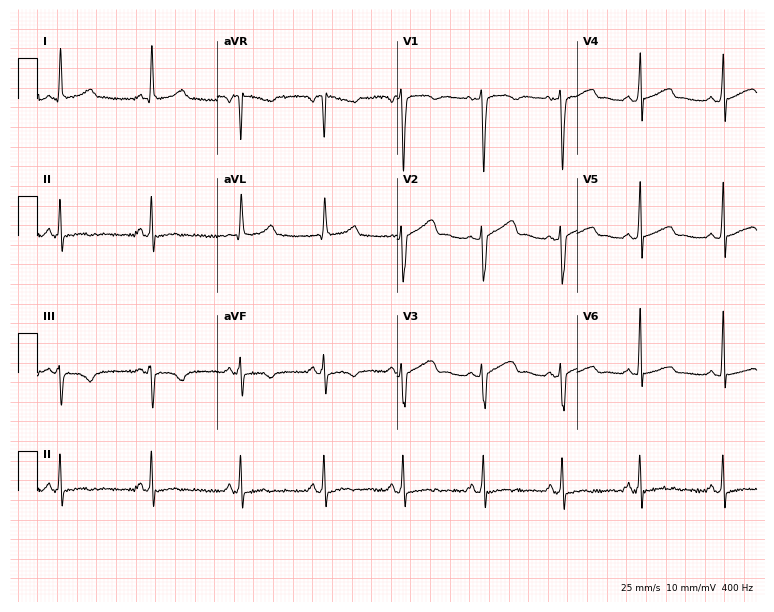
Resting 12-lead electrocardiogram. Patient: a 55-year-old female. None of these six findings is recorded: first-degree AV block, right bundle branch block, left bundle branch block, sinus bradycardia, atrial fibrillation, sinus tachycardia. Only these six findings were labelled.